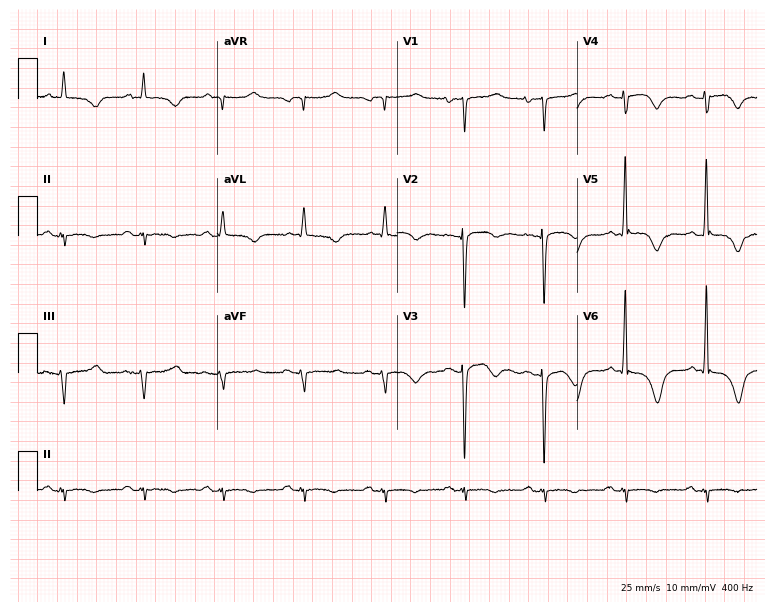
Standard 12-lead ECG recorded from a 54-year-old male. None of these six findings is recorded: first-degree AV block, right bundle branch block, left bundle branch block, sinus bradycardia, atrial fibrillation, sinus tachycardia.